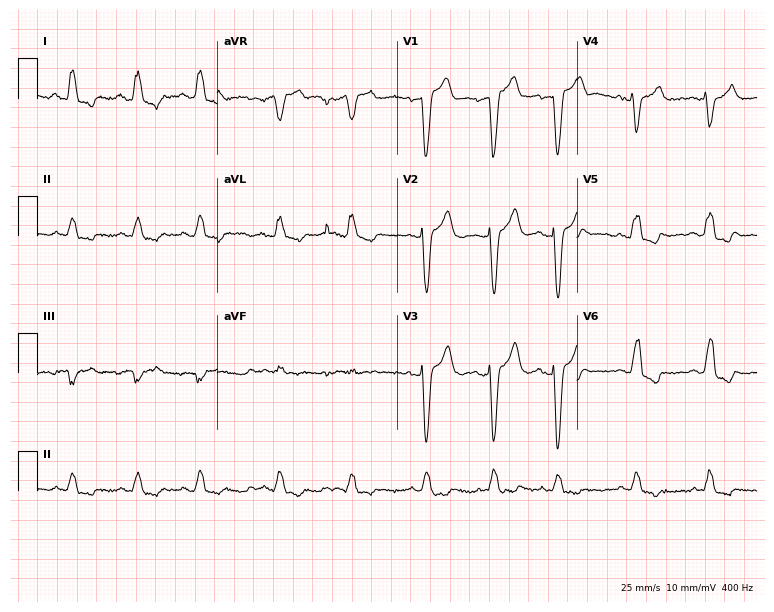
12-lead ECG from an 82-year-old man. Findings include left bundle branch block.